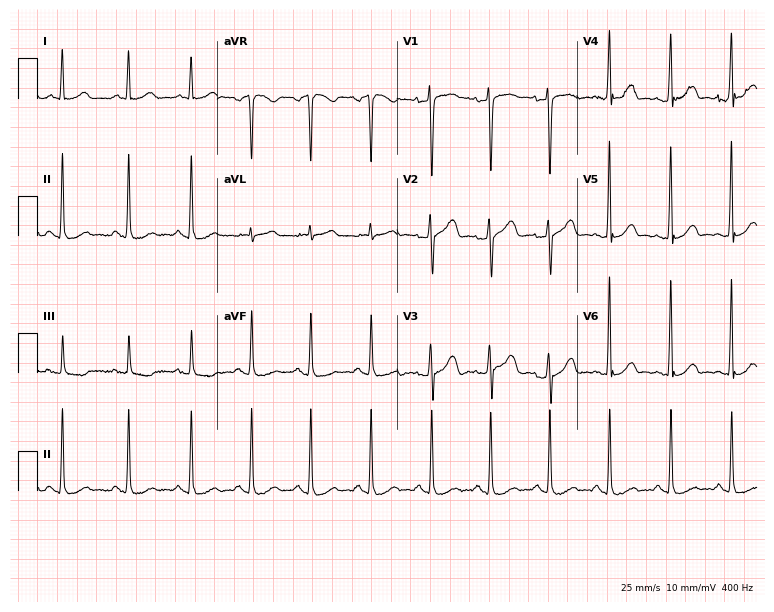
Standard 12-lead ECG recorded from a 46-year-old female. None of these six findings is recorded: first-degree AV block, right bundle branch block, left bundle branch block, sinus bradycardia, atrial fibrillation, sinus tachycardia.